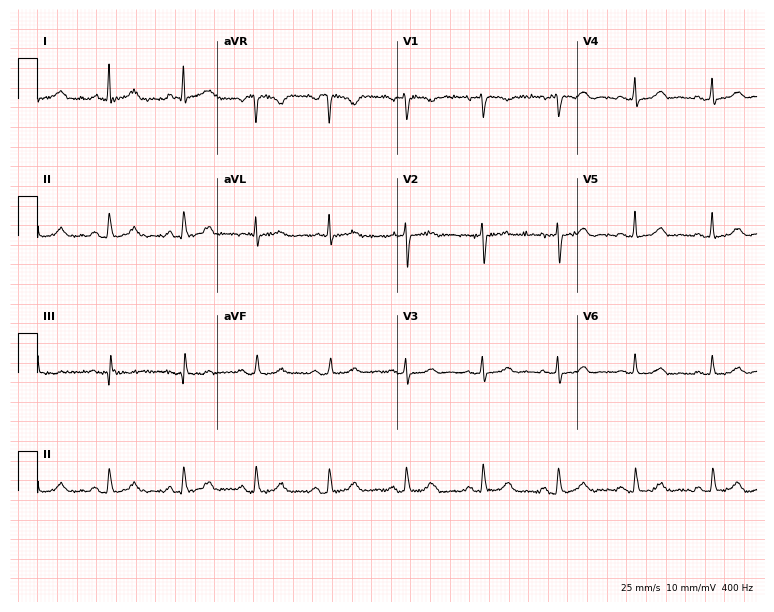
Standard 12-lead ECG recorded from a 63-year-old female (7.3-second recording at 400 Hz). Read as a normal ECG.